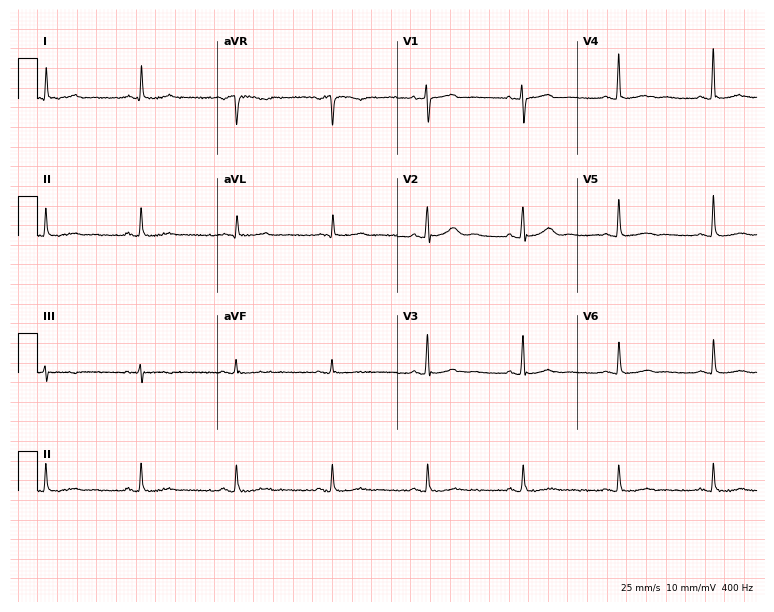
Resting 12-lead electrocardiogram. Patient: a 77-year-old woman. None of these six findings is recorded: first-degree AV block, right bundle branch block, left bundle branch block, sinus bradycardia, atrial fibrillation, sinus tachycardia.